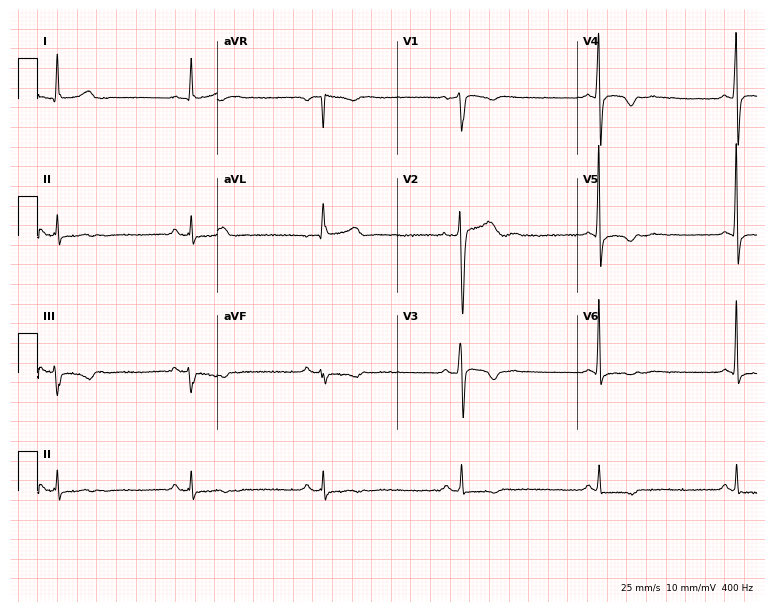
Resting 12-lead electrocardiogram (7.3-second recording at 400 Hz). Patient: a 49-year-old man. The tracing shows sinus bradycardia (a sinus rate of 50 beats per minute or less).